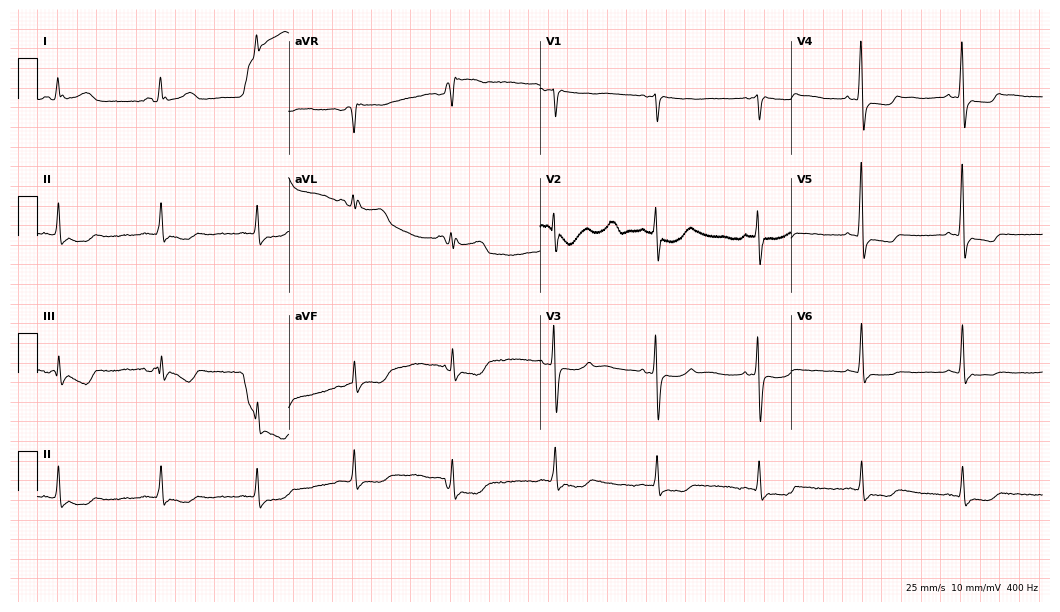
ECG (10.2-second recording at 400 Hz) — a man, 60 years old. Screened for six findings — first-degree AV block, right bundle branch block (RBBB), left bundle branch block (LBBB), sinus bradycardia, atrial fibrillation (AF), sinus tachycardia — none is recorded.